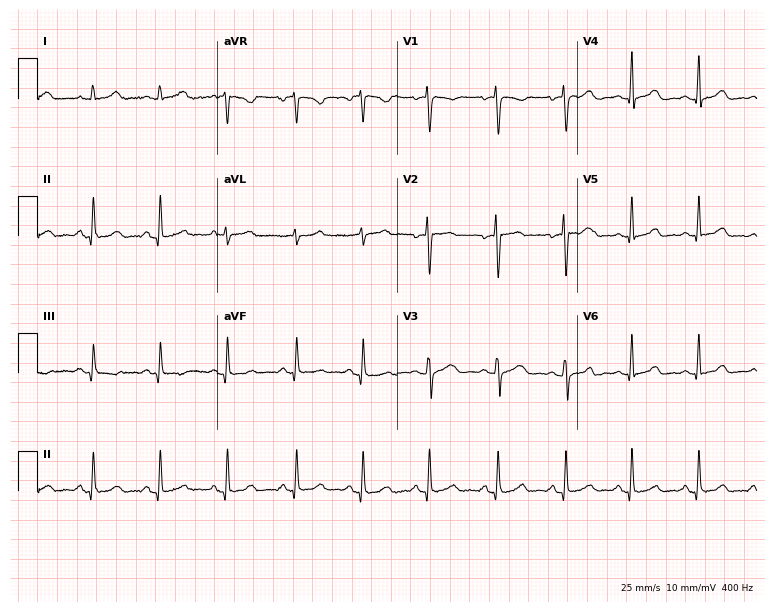
Standard 12-lead ECG recorded from a 35-year-old female. Read as a normal ECG.